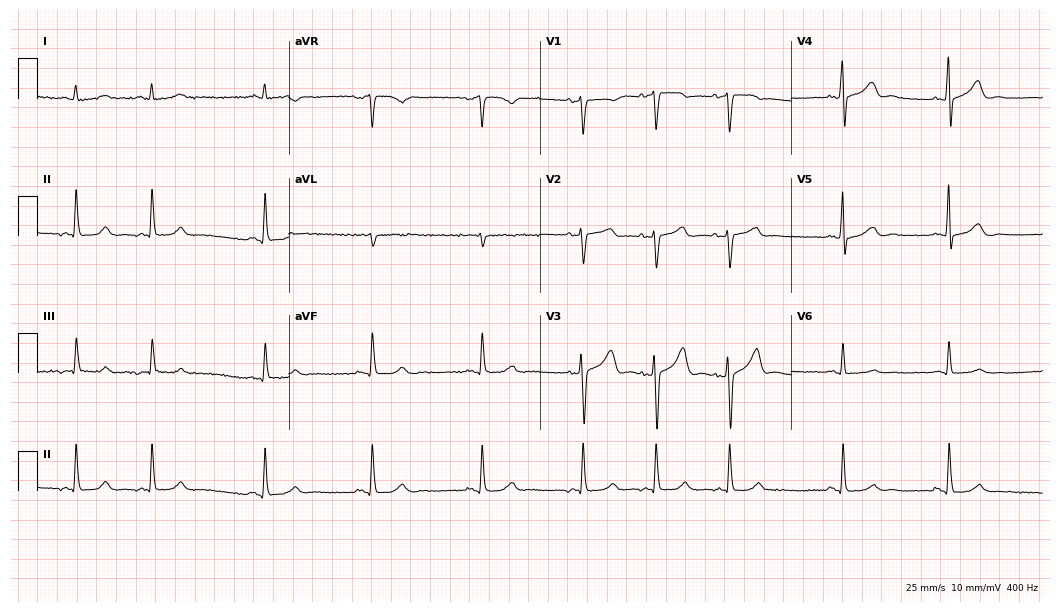
ECG (10.2-second recording at 400 Hz) — a male patient, 71 years old. Screened for six findings — first-degree AV block, right bundle branch block, left bundle branch block, sinus bradycardia, atrial fibrillation, sinus tachycardia — none is recorded.